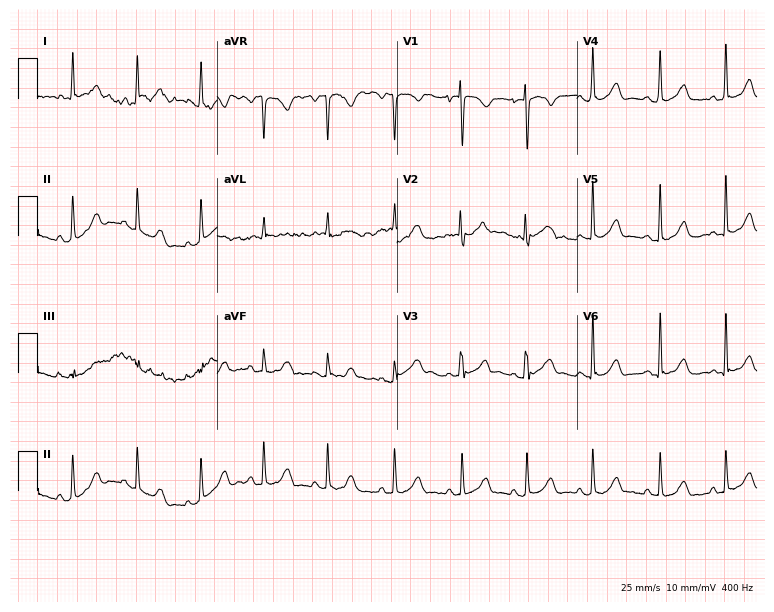
Electrocardiogram (7.3-second recording at 400 Hz), a 35-year-old female patient. Overall reading on record: normal ECG.